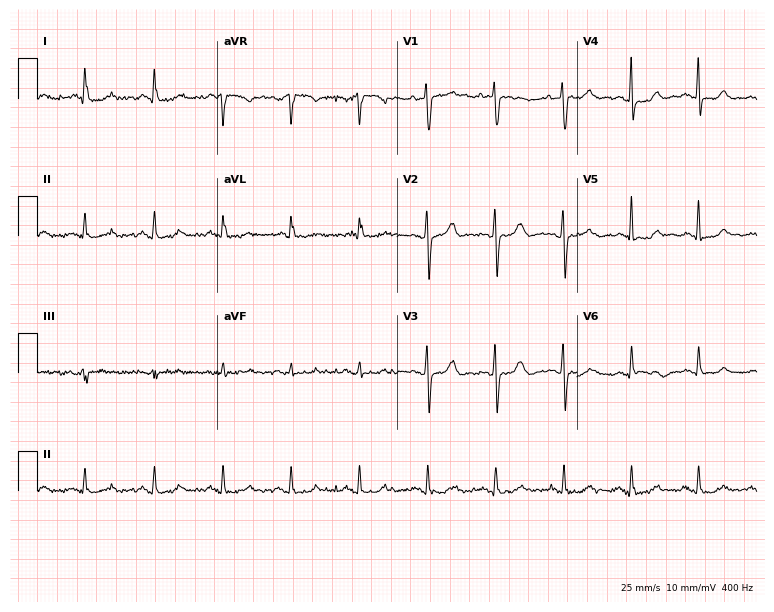
ECG (7.3-second recording at 400 Hz) — a female, 72 years old. Labelled as a normal ECG.